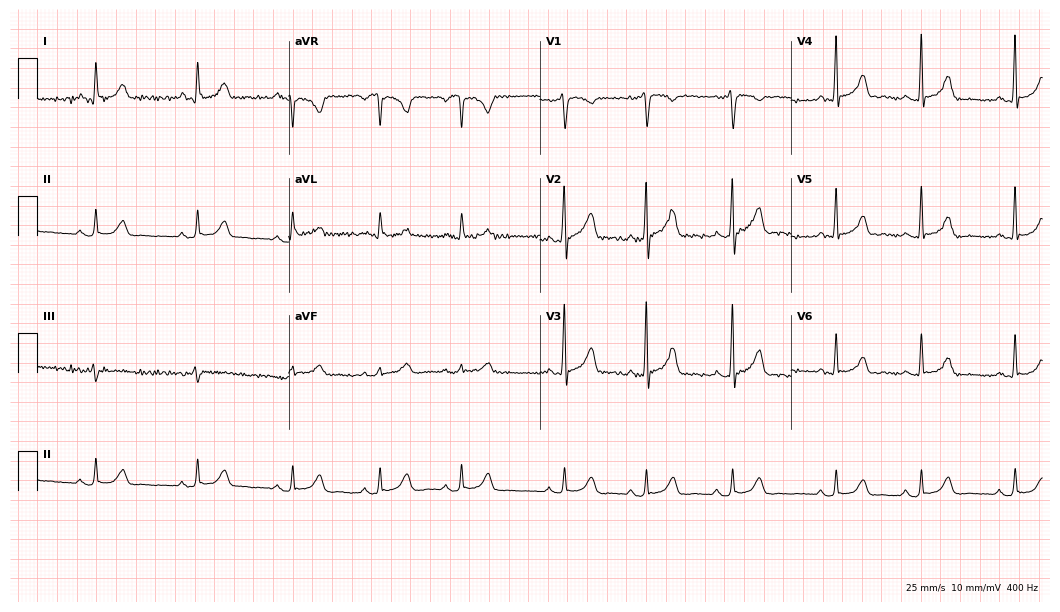
Standard 12-lead ECG recorded from a female, 31 years old. Read as a normal ECG.